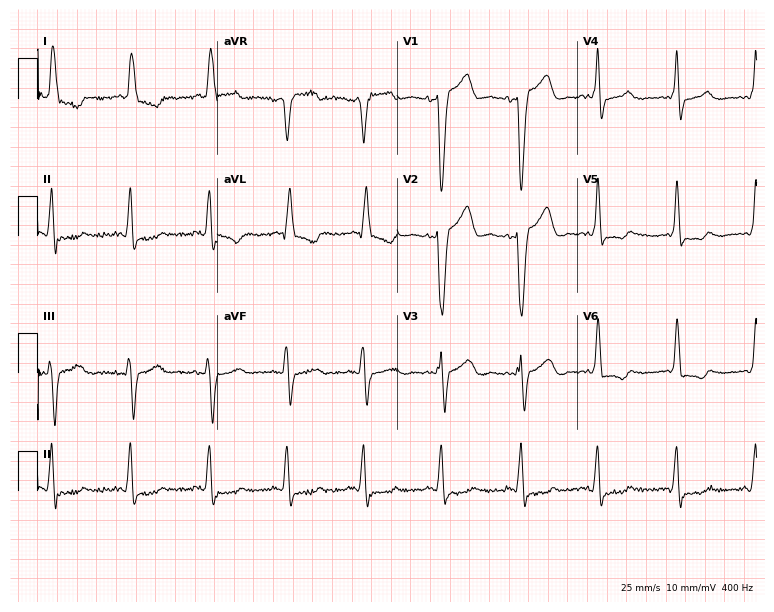
12-lead ECG from a female, 76 years old. No first-degree AV block, right bundle branch block (RBBB), left bundle branch block (LBBB), sinus bradycardia, atrial fibrillation (AF) or sinus tachycardia recorded for this tracing. Only these six findings were labelled.